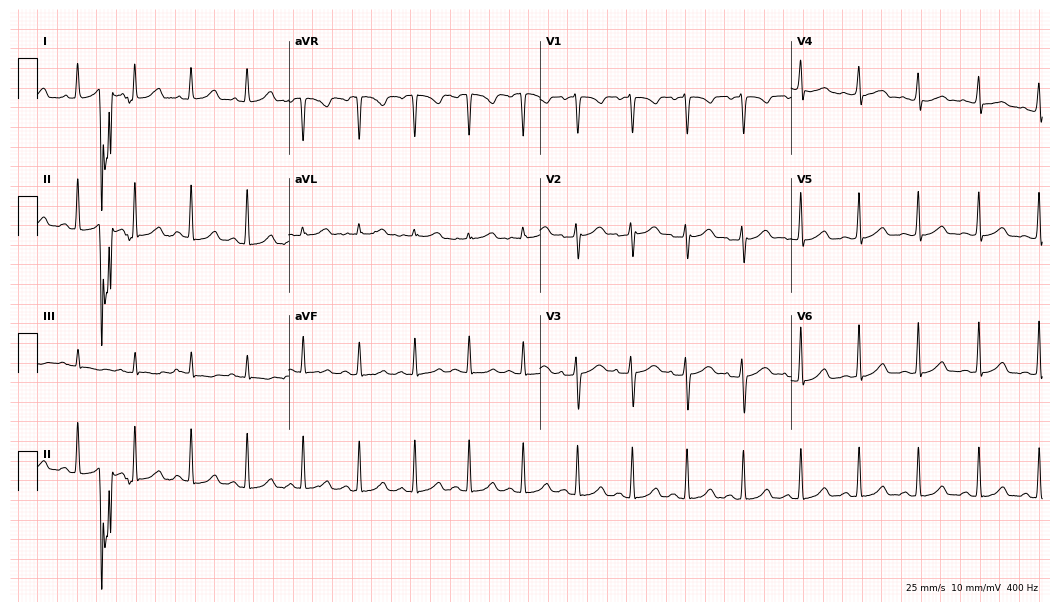
Standard 12-lead ECG recorded from a 28-year-old female (10.2-second recording at 400 Hz). The tracing shows sinus tachycardia (a sinus rate of 100 beats per minute or more).